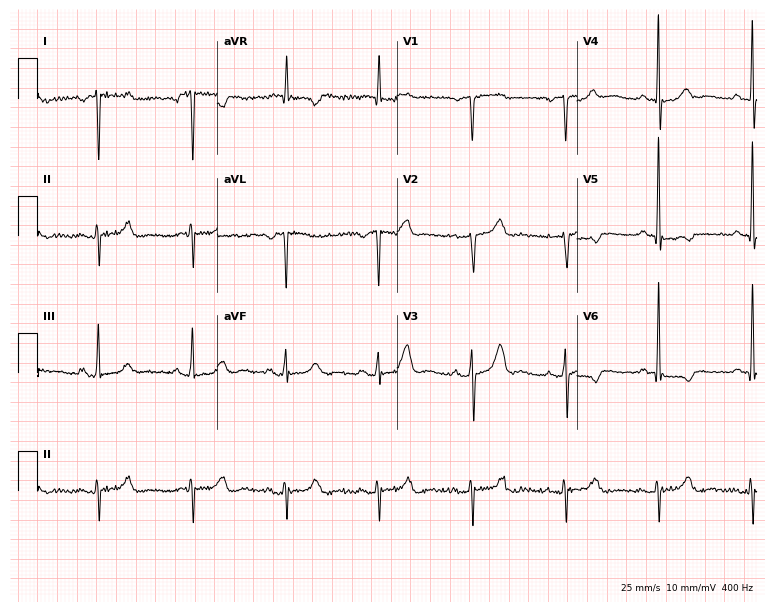
12-lead ECG from a woman, 84 years old (7.3-second recording at 400 Hz). No first-degree AV block, right bundle branch block (RBBB), left bundle branch block (LBBB), sinus bradycardia, atrial fibrillation (AF) or sinus tachycardia recorded for this tracing. Only these six findings were labelled.